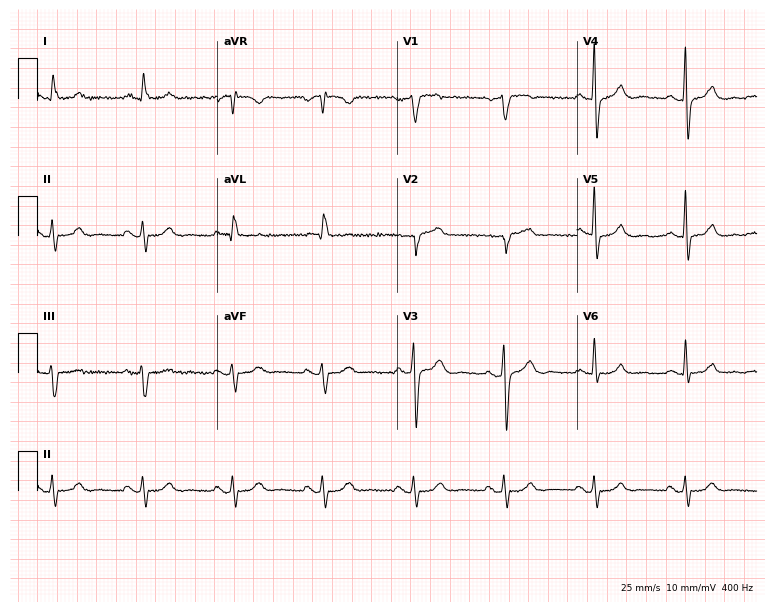
Electrocardiogram, a 72-year-old man. Of the six screened findings (first-degree AV block, right bundle branch block (RBBB), left bundle branch block (LBBB), sinus bradycardia, atrial fibrillation (AF), sinus tachycardia), none is recorded.